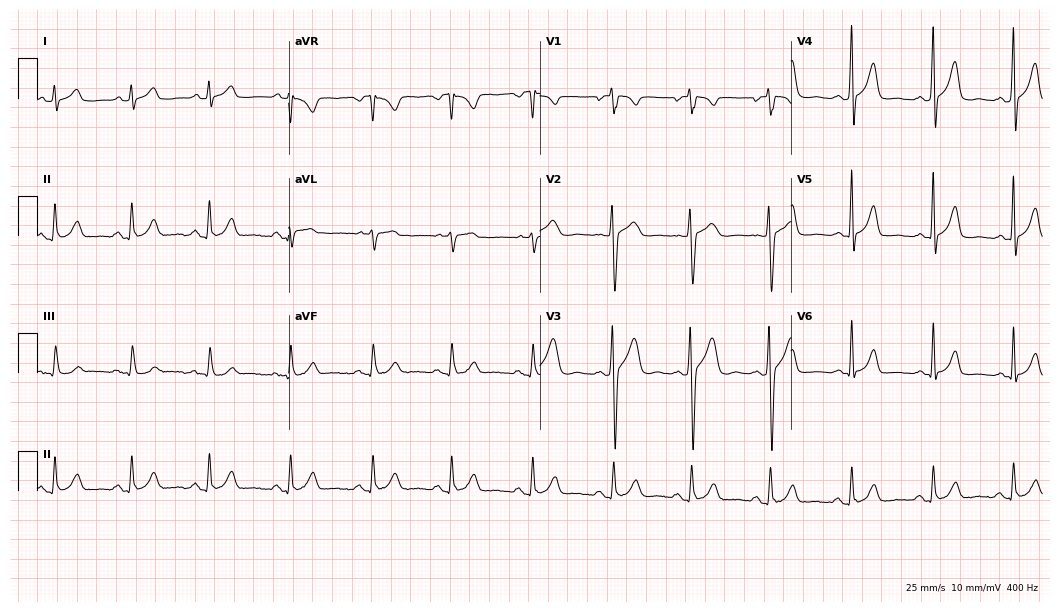
Electrocardiogram, a 29-year-old female. Of the six screened findings (first-degree AV block, right bundle branch block, left bundle branch block, sinus bradycardia, atrial fibrillation, sinus tachycardia), none is recorded. Only these six findings were labelled.